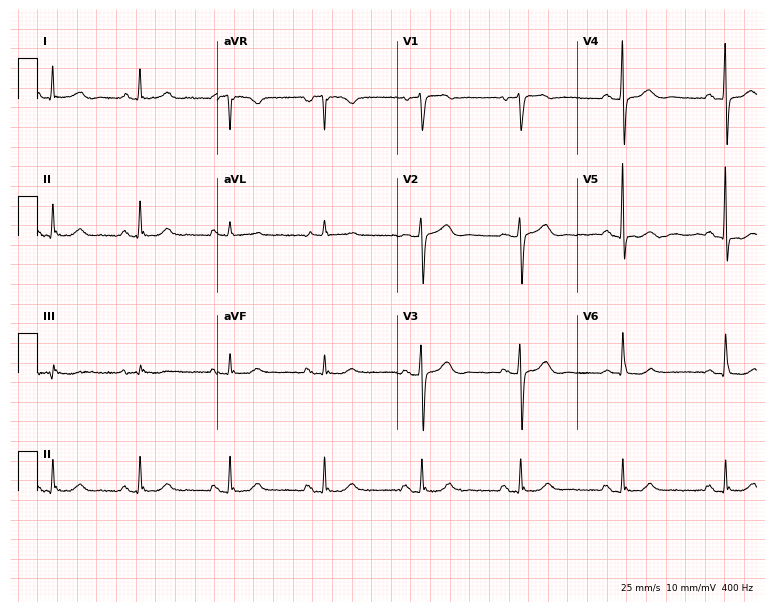
Electrocardiogram (7.3-second recording at 400 Hz), a female patient, 59 years old. Overall reading on record: normal ECG.